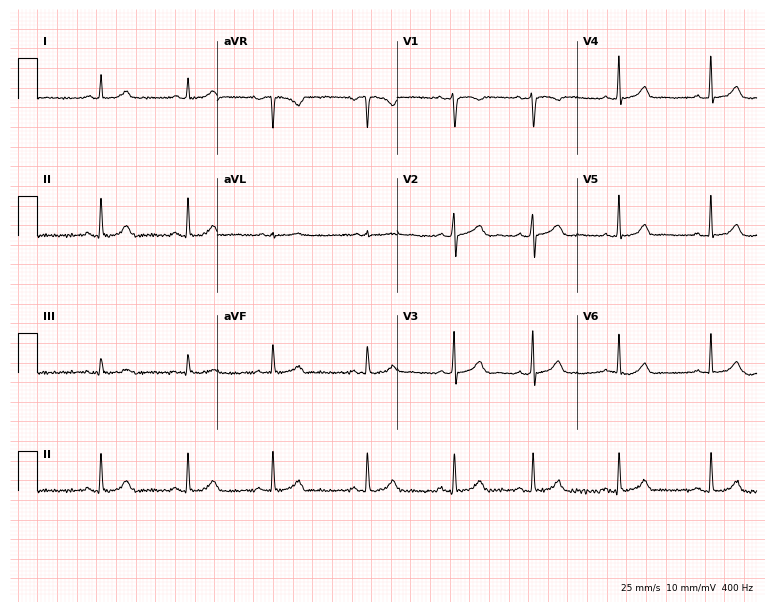
12-lead ECG from a 23-year-old woman. Recorded interpretation: within normal limits.